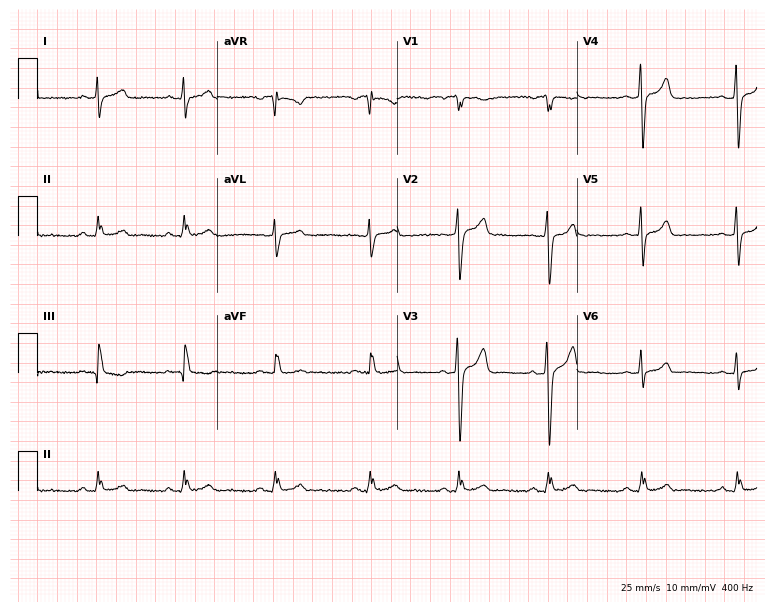
Standard 12-lead ECG recorded from a 39-year-old male patient. None of these six findings is recorded: first-degree AV block, right bundle branch block, left bundle branch block, sinus bradycardia, atrial fibrillation, sinus tachycardia.